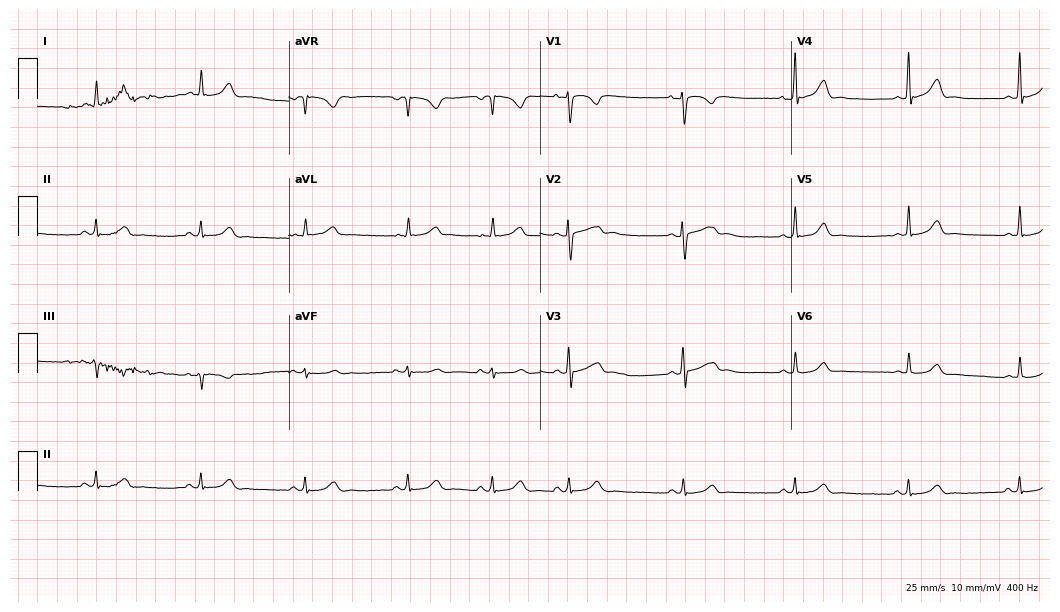
ECG (10.2-second recording at 400 Hz) — a female, 28 years old. Labelled as a normal ECG.